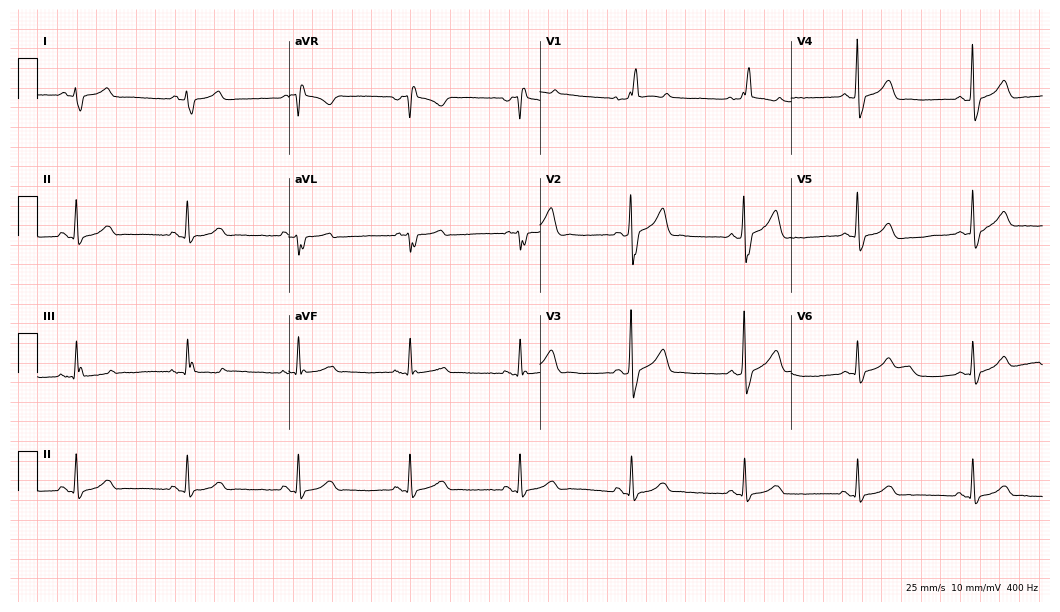
Electrocardiogram (10.2-second recording at 400 Hz), a 67-year-old man. Of the six screened findings (first-degree AV block, right bundle branch block, left bundle branch block, sinus bradycardia, atrial fibrillation, sinus tachycardia), none is recorded. Findings outside these six are not listed.